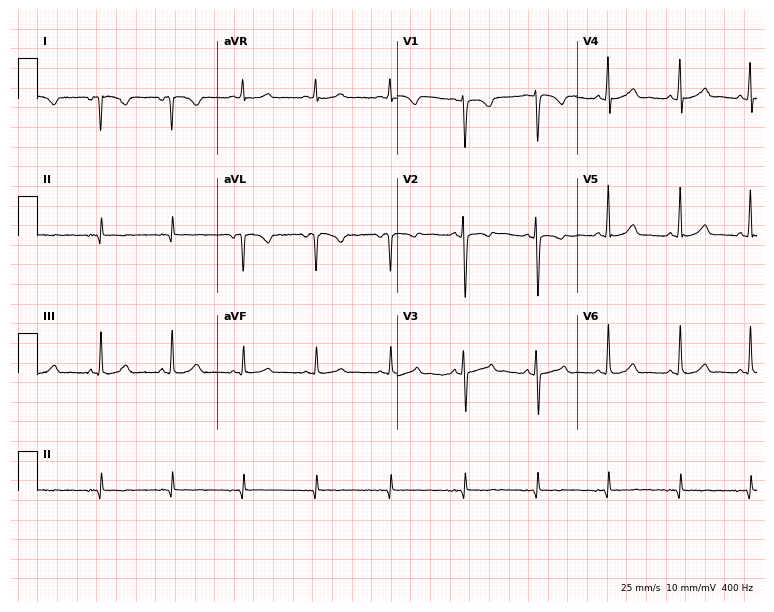
Resting 12-lead electrocardiogram. Patient: a female, 30 years old. None of these six findings is recorded: first-degree AV block, right bundle branch block, left bundle branch block, sinus bradycardia, atrial fibrillation, sinus tachycardia. Findings outside these six are not listed.